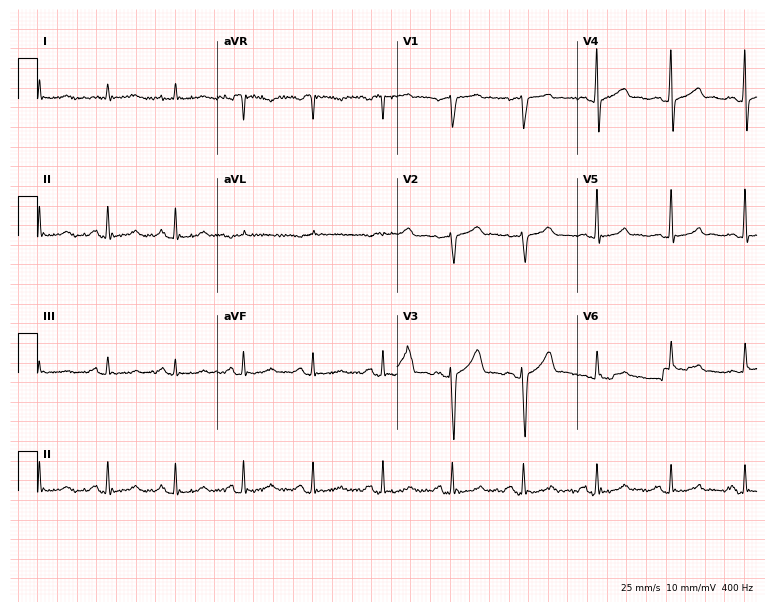
Resting 12-lead electrocardiogram. Patient: a male, 65 years old. Read as a normal ECG.